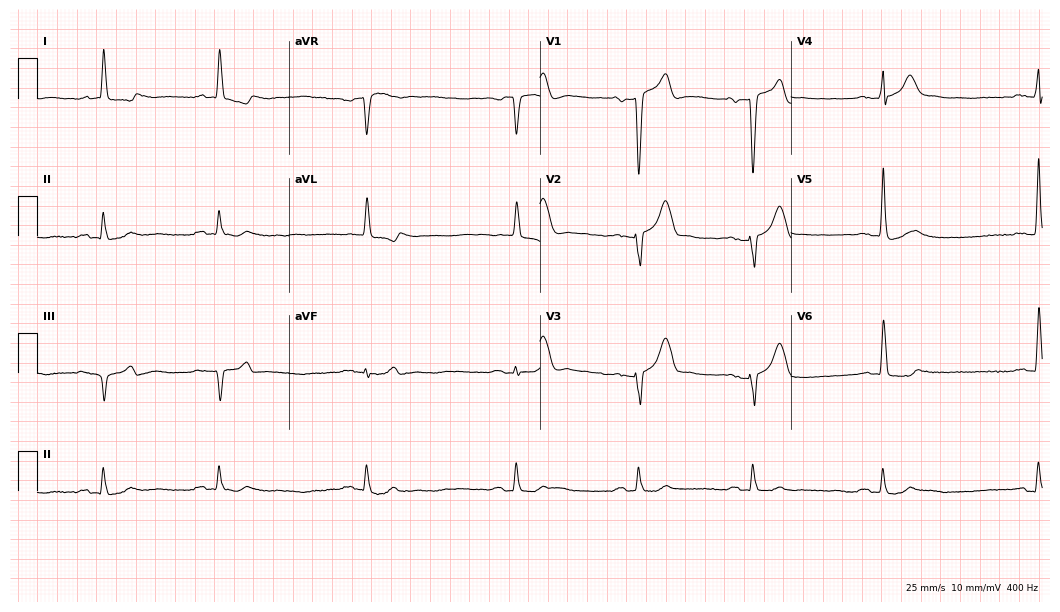
ECG (10.2-second recording at 400 Hz) — a man, 77 years old. Findings include sinus bradycardia (a sinus rate of 50 beats per minute or less).